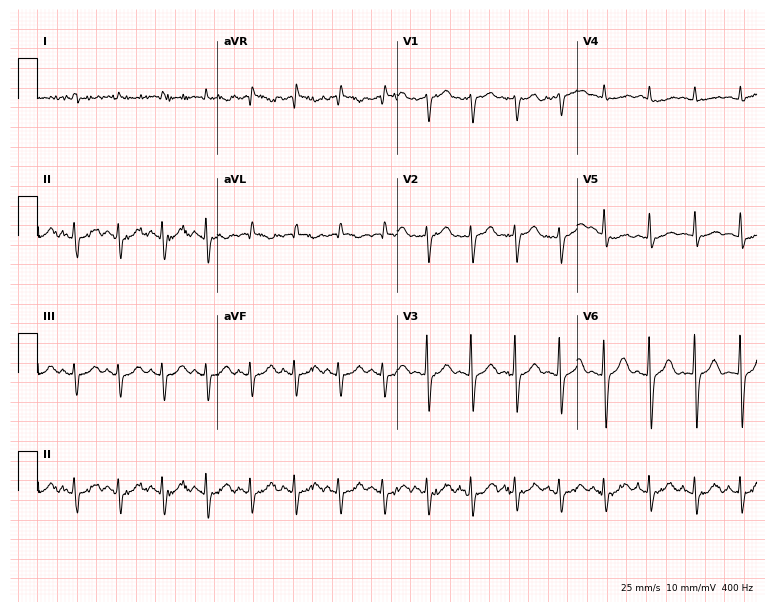
Electrocardiogram, an 84-year-old man. Of the six screened findings (first-degree AV block, right bundle branch block, left bundle branch block, sinus bradycardia, atrial fibrillation, sinus tachycardia), none is recorded. Findings outside these six are not listed.